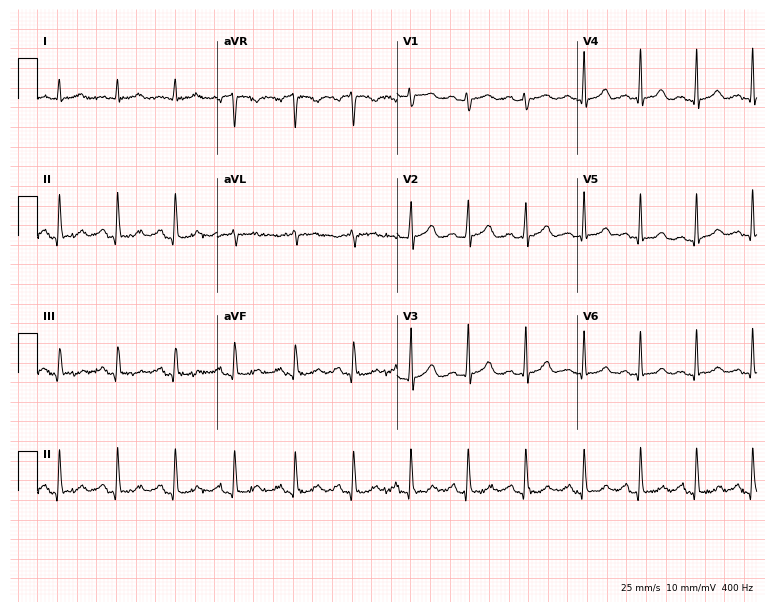
12-lead ECG (7.3-second recording at 400 Hz) from a 30-year-old female. Screened for six findings — first-degree AV block, right bundle branch block (RBBB), left bundle branch block (LBBB), sinus bradycardia, atrial fibrillation (AF), sinus tachycardia — none is recorded. Other findings, if any, are not listed.